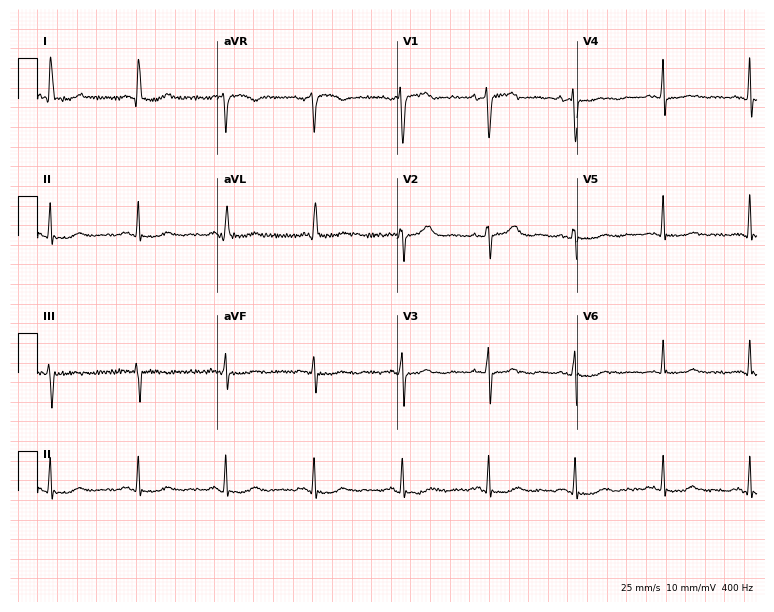
Standard 12-lead ECG recorded from a female patient, 75 years old (7.3-second recording at 400 Hz). None of these six findings is recorded: first-degree AV block, right bundle branch block (RBBB), left bundle branch block (LBBB), sinus bradycardia, atrial fibrillation (AF), sinus tachycardia. Only these six findings were labelled.